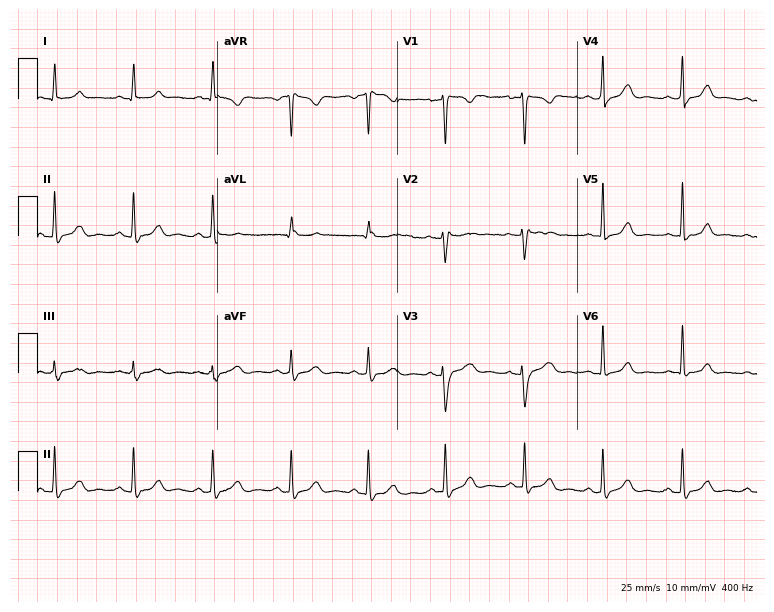
Resting 12-lead electrocardiogram (7.3-second recording at 400 Hz). Patient: a female, 51 years old. None of these six findings is recorded: first-degree AV block, right bundle branch block, left bundle branch block, sinus bradycardia, atrial fibrillation, sinus tachycardia.